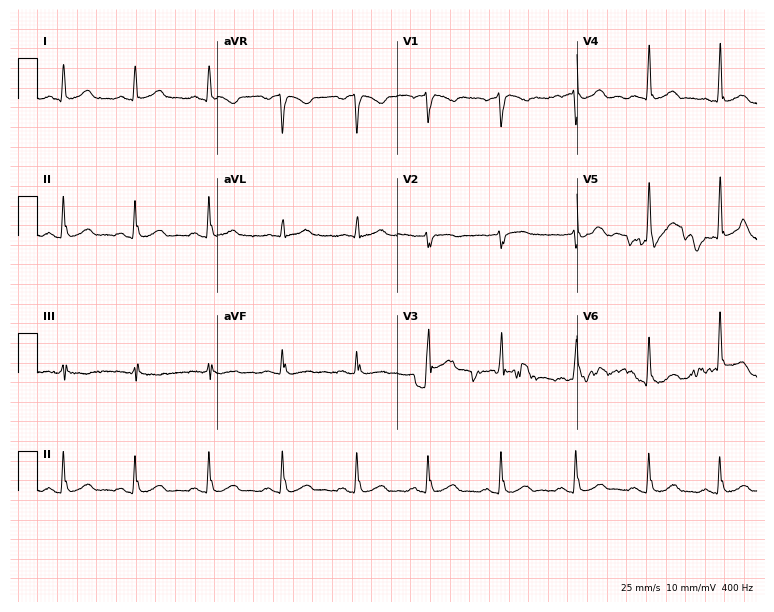
Electrocardiogram, a 67-year-old man. Overall reading on record: normal ECG.